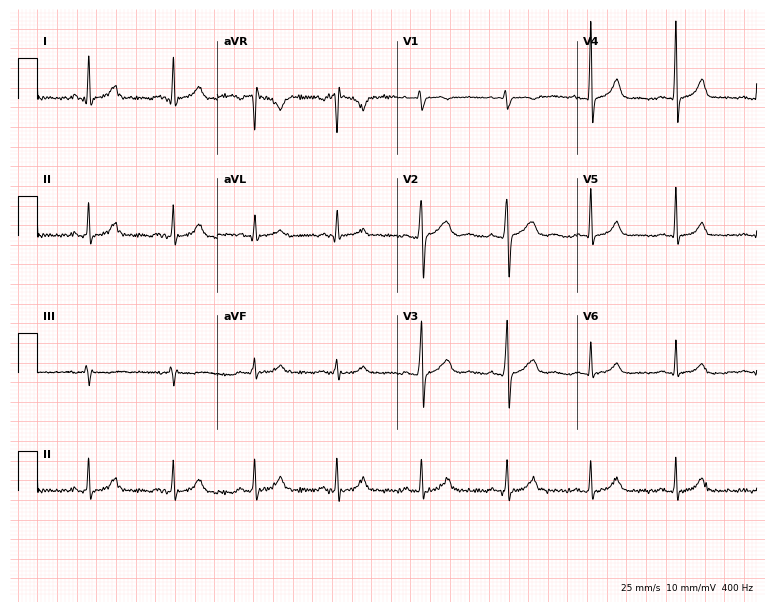
ECG — a 33-year-old female. Labelled as a normal ECG.